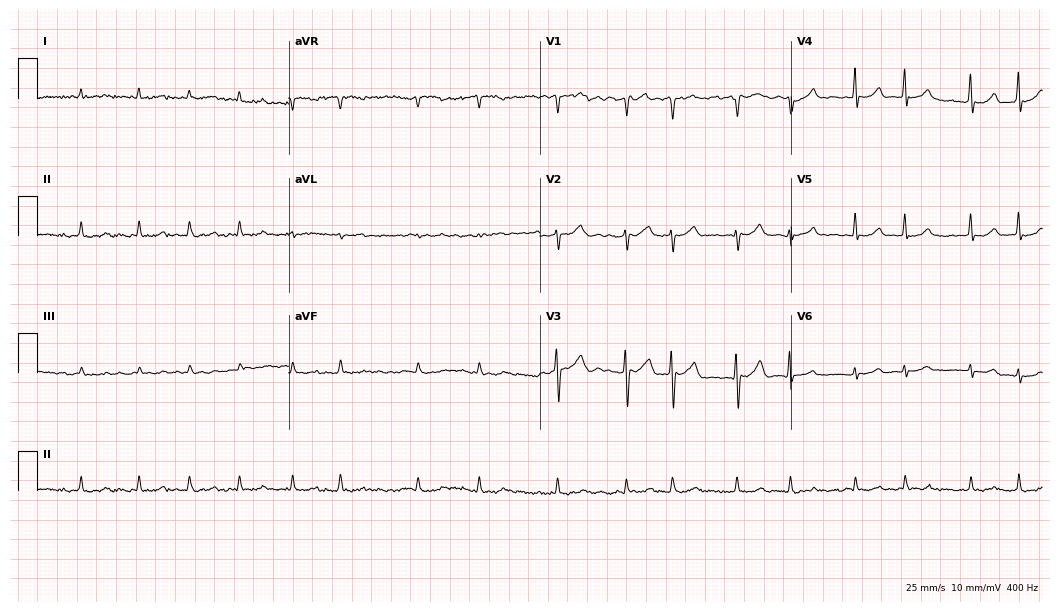
12-lead ECG from a male, 79 years old. Screened for six findings — first-degree AV block, right bundle branch block, left bundle branch block, sinus bradycardia, atrial fibrillation, sinus tachycardia — none is recorded.